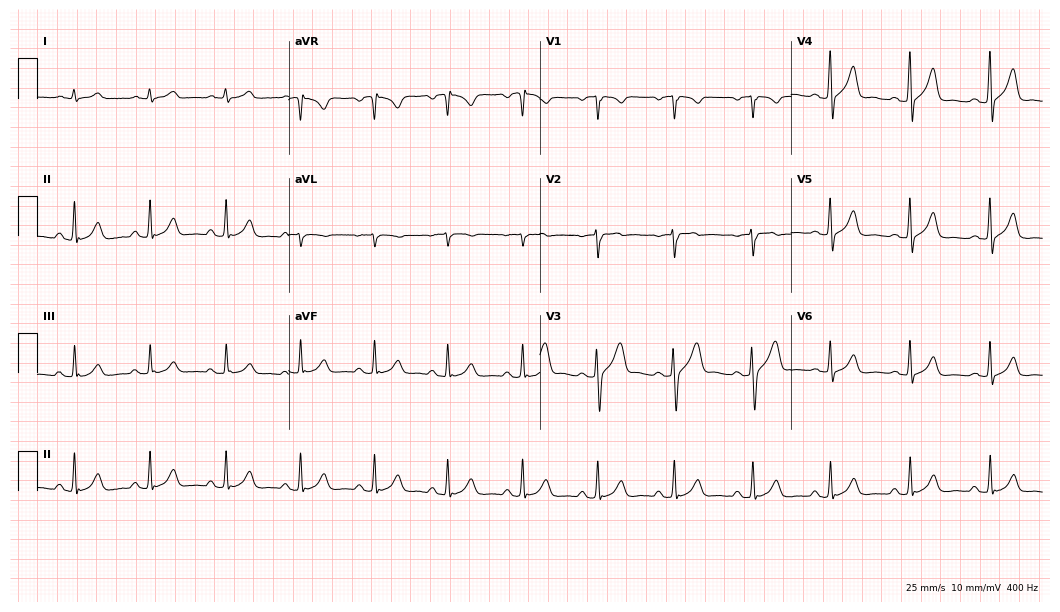
Standard 12-lead ECG recorded from a man, 40 years old (10.2-second recording at 400 Hz). Read as a normal ECG.